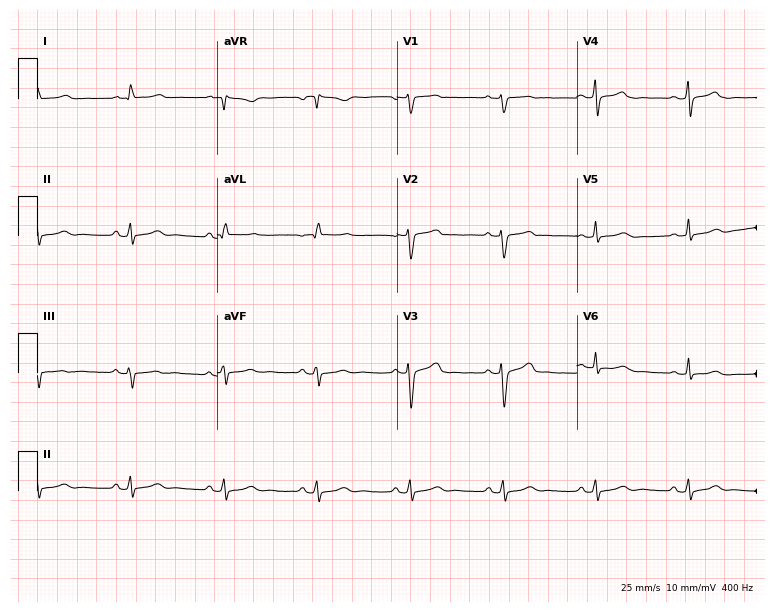
ECG (7.3-second recording at 400 Hz) — a female patient, 32 years old. Screened for six findings — first-degree AV block, right bundle branch block, left bundle branch block, sinus bradycardia, atrial fibrillation, sinus tachycardia — none is recorded.